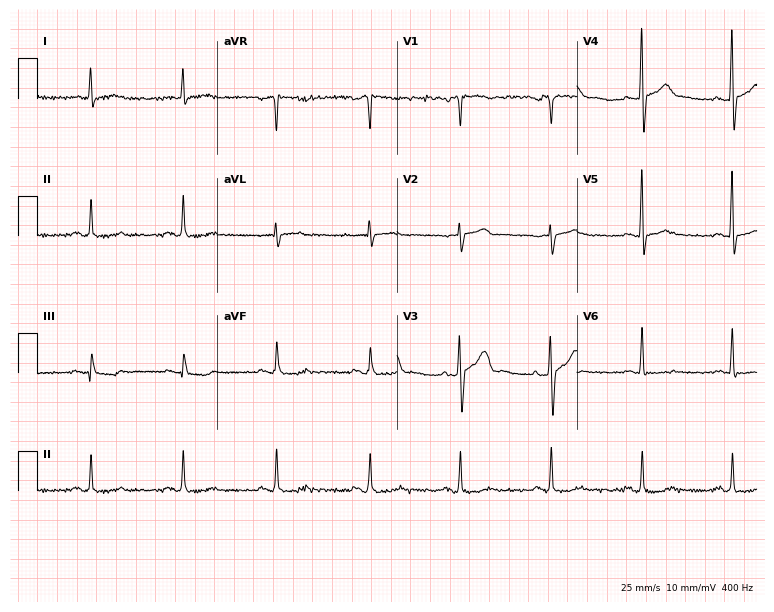
12-lead ECG from a 73-year-old male patient. Screened for six findings — first-degree AV block, right bundle branch block, left bundle branch block, sinus bradycardia, atrial fibrillation, sinus tachycardia — none is recorded.